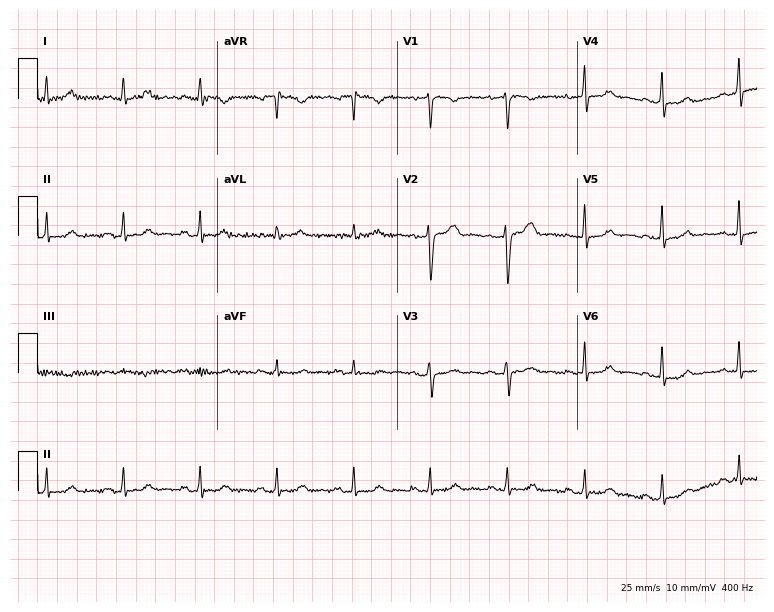
12-lead ECG from a 39-year-old woman (7.3-second recording at 400 Hz). Recorded interpretation: within normal limits.